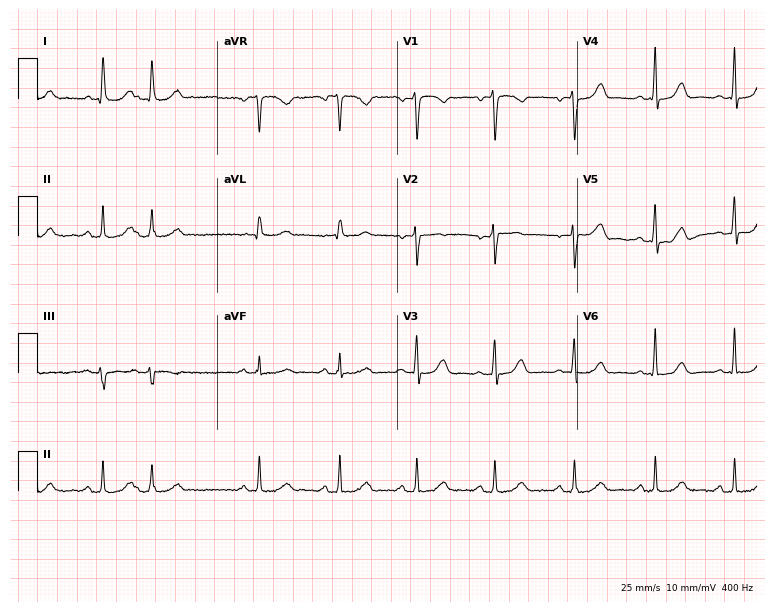
Electrocardiogram, a female patient, 56 years old. Of the six screened findings (first-degree AV block, right bundle branch block, left bundle branch block, sinus bradycardia, atrial fibrillation, sinus tachycardia), none is recorded. Only these six findings were labelled.